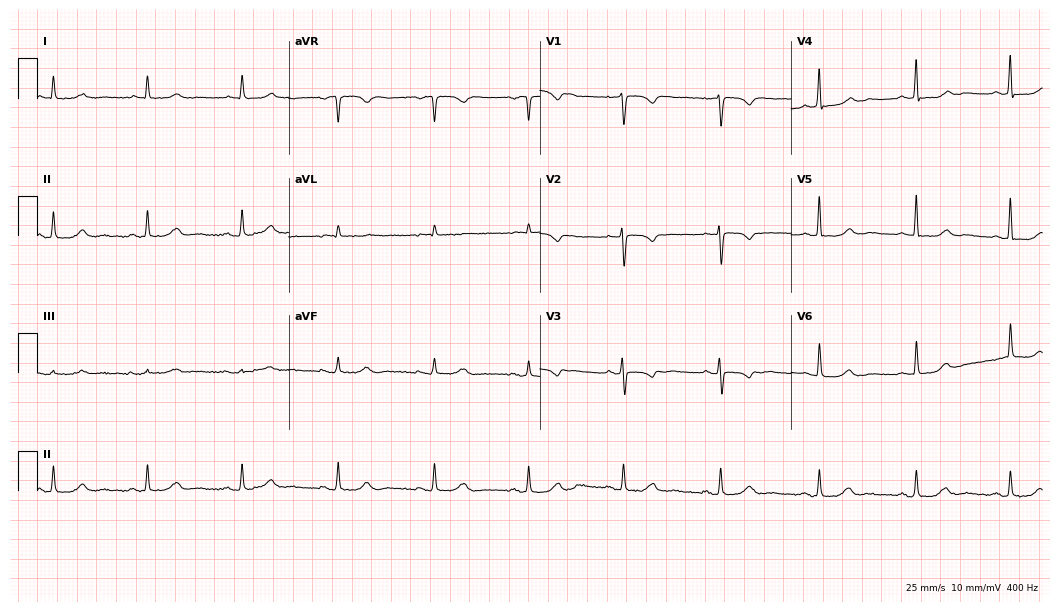
ECG (10.2-second recording at 400 Hz) — a woman, 53 years old. Screened for six findings — first-degree AV block, right bundle branch block, left bundle branch block, sinus bradycardia, atrial fibrillation, sinus tachycardia — none is recorded. Other findings, if any, are not listed.